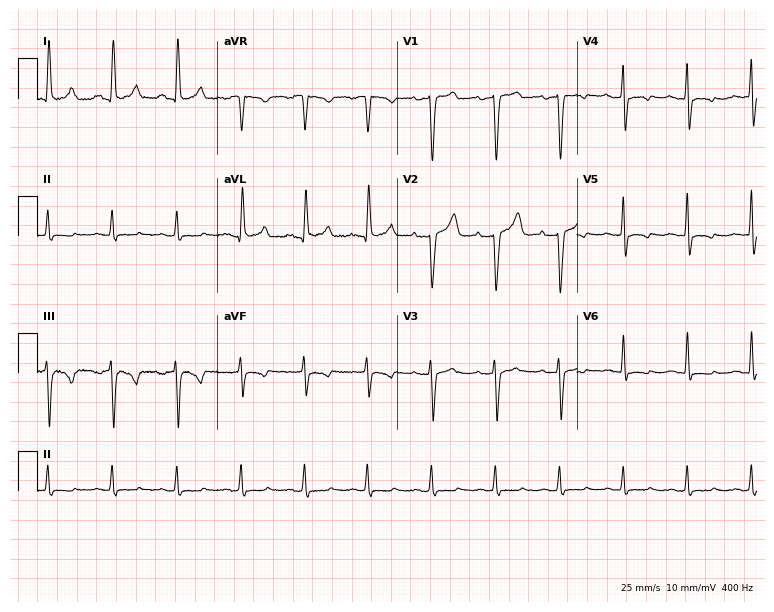
ECG (7.3-second recording at 400 Hz) — a 66-year-old female patient. Screened for six findings — first-degree AV block, right bundle branch block, left bundle branch block, sinus bradycardia, atrial fibrillation, sinus tachycardia — none is recorded.